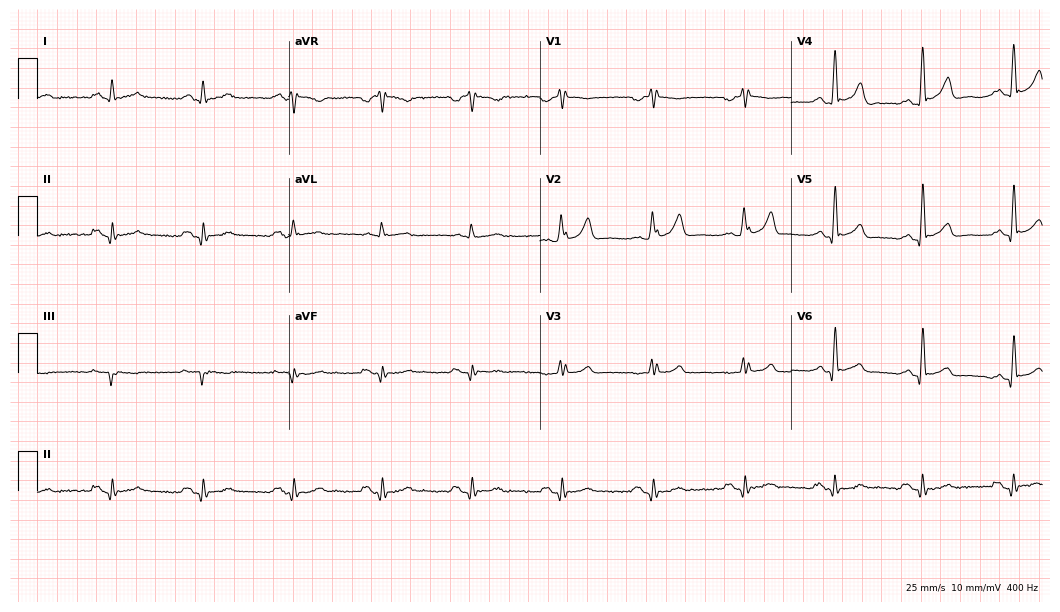
Standard 12-lead ECG recorded from a man, 52 years old (10.2-second recording at 400 Hz). None of these six findings is recorded: first-degree AV block, right bundle branch block (RBBB), left bundle branch block (LBBB), sinus bradycardia, atrial fibrillation (AF), sinus tachycardia. Only these six findings were labelled.